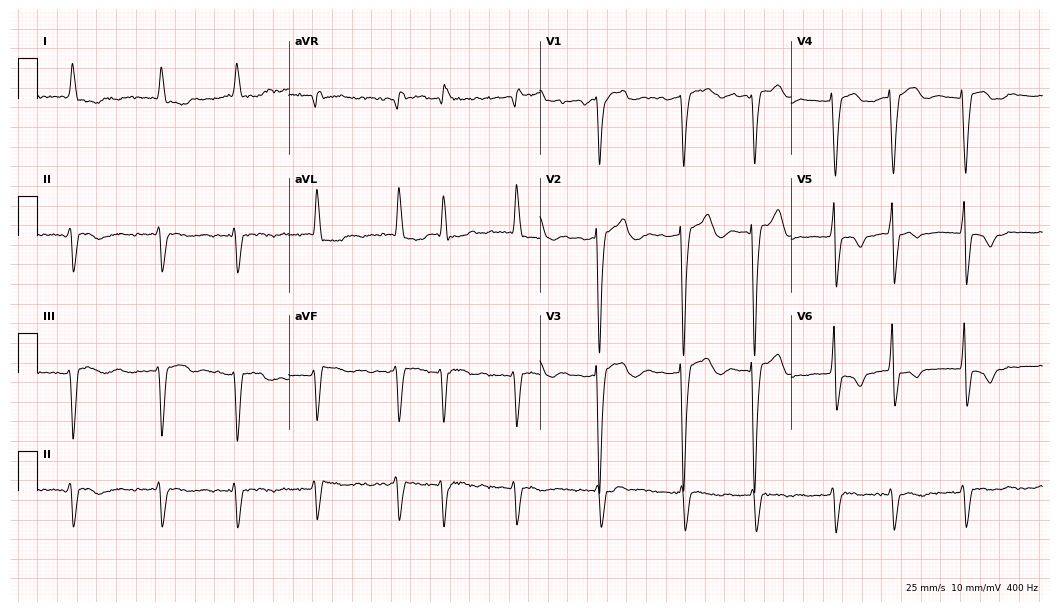
Electrocardiogram (10.2-second recording at 400 Hz), a 79-year-old female. Interpretation includes left bundle branch block, atrial fibrillation.